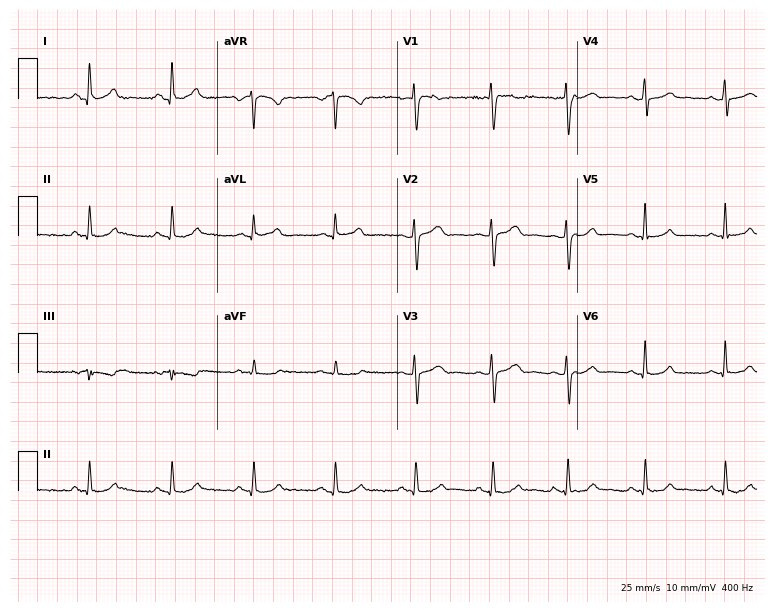
12-lead ECG from a 35-year-old female. Screened for six findings — first-degree AV block, right bundle branch block, left bundle branch block, sinus bradycardia, atrial fibrillation, sinus tachycardia — none is recorded. Other findings, if any, are not listed.